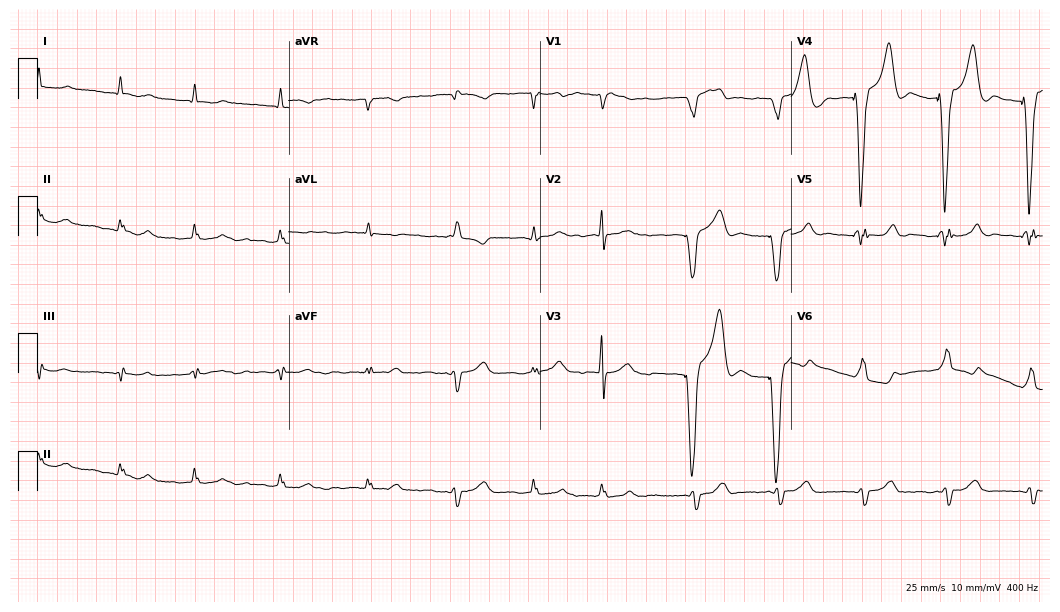
12-lead ECG from a male, 70 years old. Findings include atrial fibrillation.